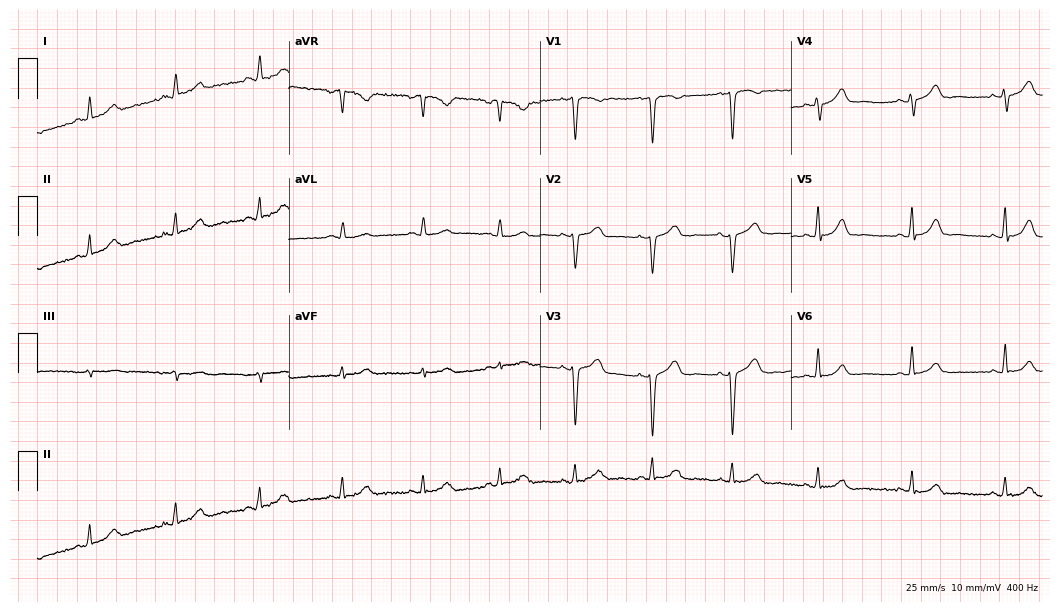
ECG — a 43-year-old woman. Screened for six findings — first-degree AV block, right bundle branch block, left bundle branch block, sinus bradycardia, atrial fibrillation, sinus tachycardia — none is recorded. Other findings, if any, are not listed.